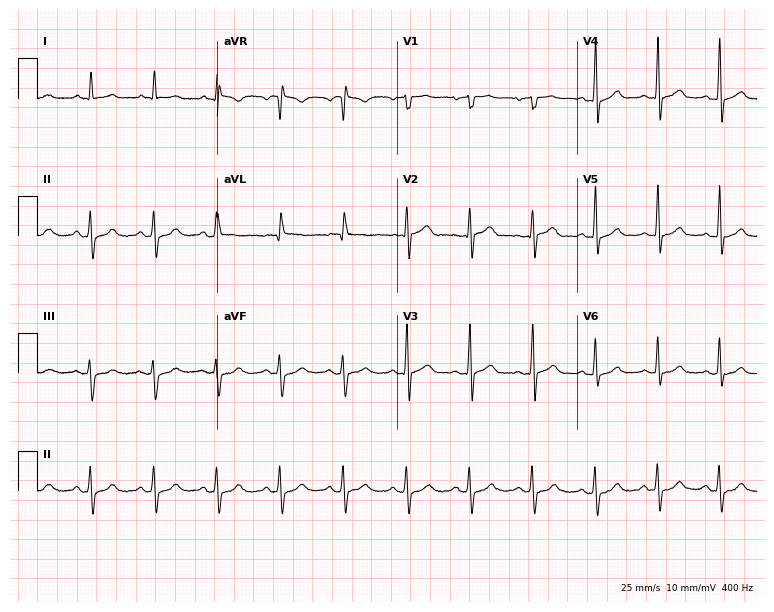
Electrocardiogram, a man, 72 years old. Overall reading on record: normal ECG.